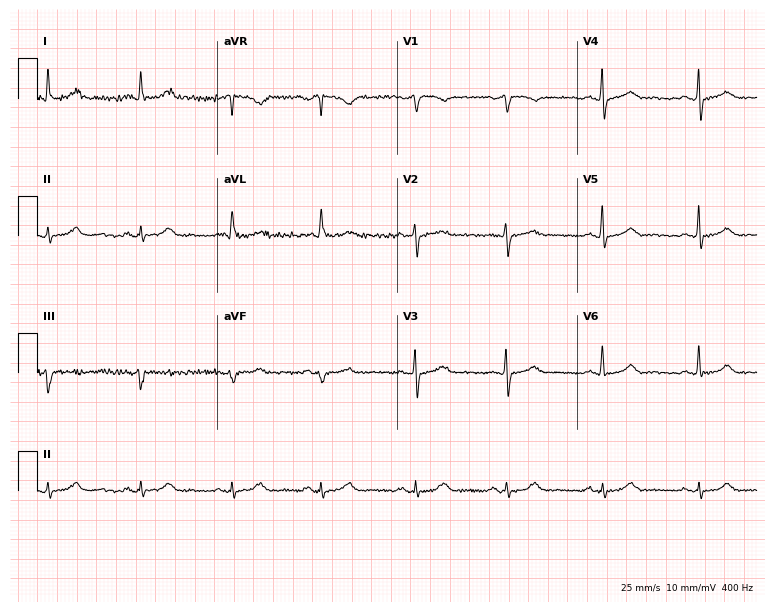
Electrocardiogram (7.3-second recording at 400 Hz), a 69-year-old woman. Overall reading on record: normal ECG.